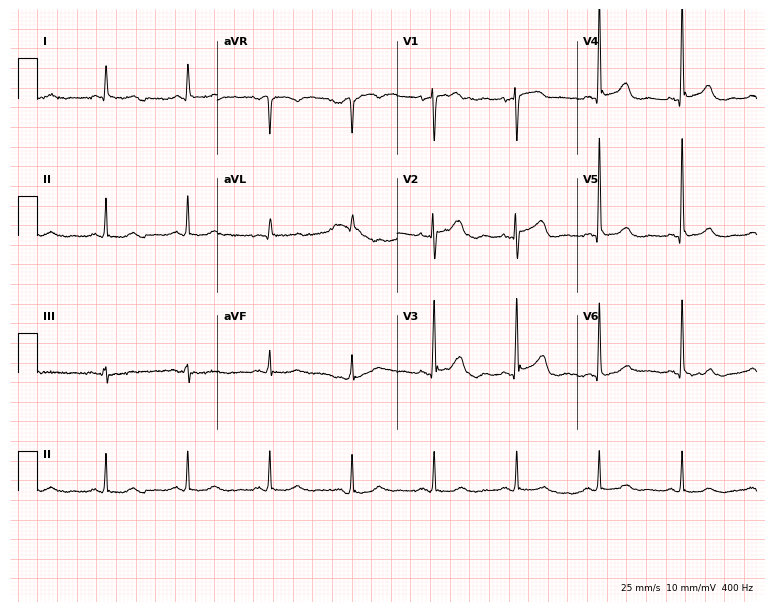
Electrocardiogram (7.3-second recording at 400 Hz), an 82-year-old woman. Of the six screened findings (first-degree AV block, right bundle branch block (RBBB), left bundle branch block (LBBB), sinus bradycardia, atrial fibrillation (AF), sinus tachycardia), none is recorded.